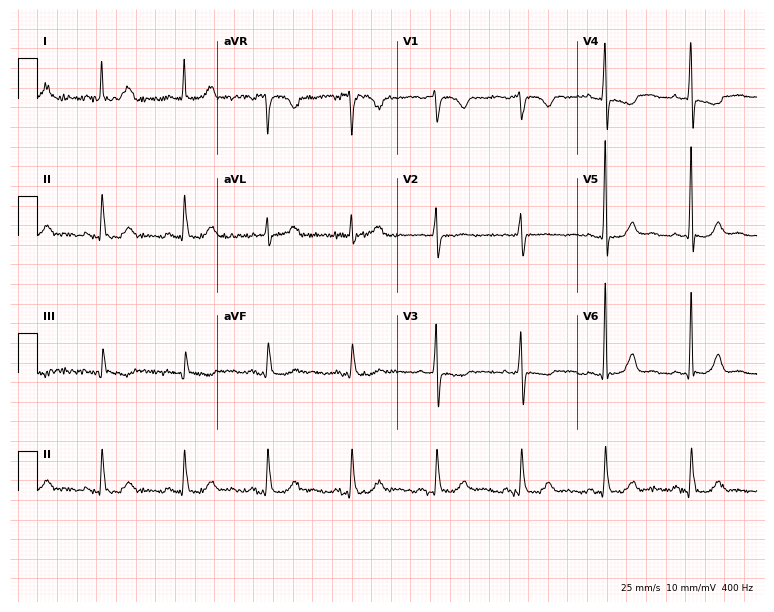
12-lead ECG (7.3-second recording at 400 Hz) from a woman, 73 years old. Screened for six findings — first-degree AV block, right bundle branch block, left bundle branch block, sinus bradycardia, atrial fibrillation, sinus tachycardia — none is recorded.